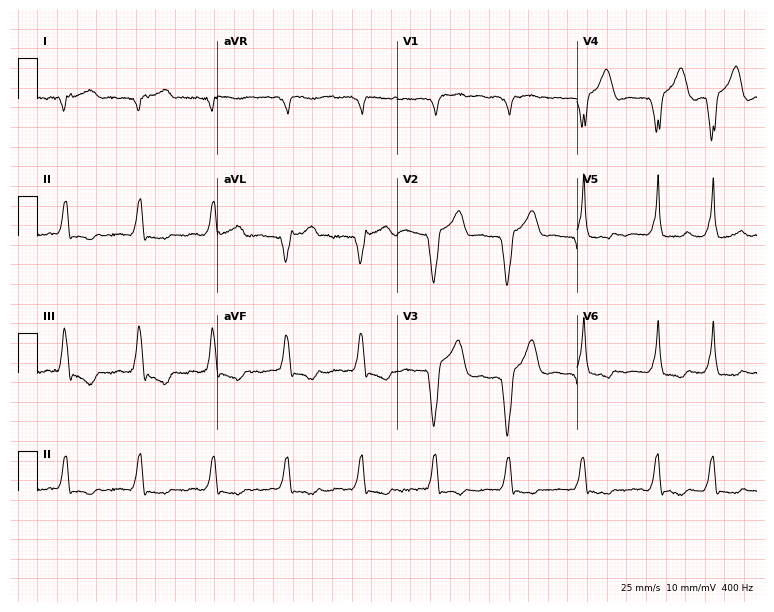
12-lead ECG from an 80-year-old woman. No first-degree AV block, right bundle branch block, left bundle branch block, sinus bradycardia, atrial fibrillation or sinus tachycardia recorded for this tracing.